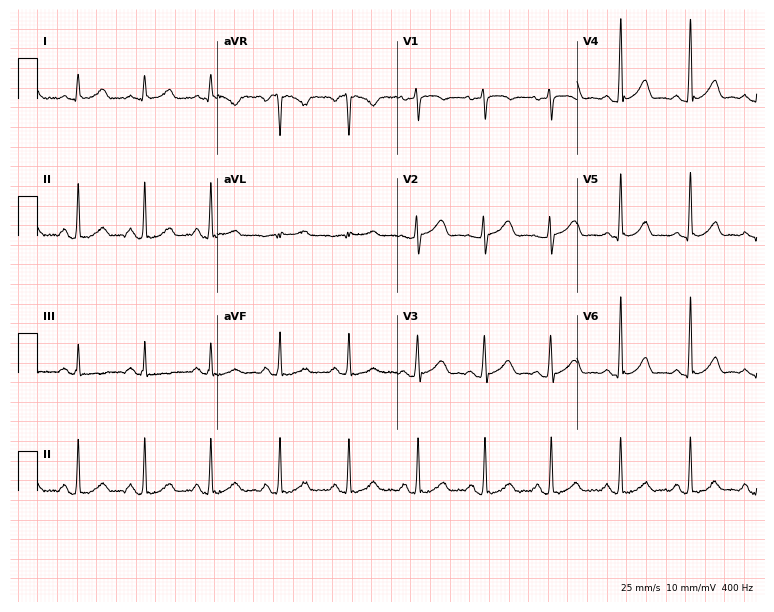
12-lead ECG from a female patient, 53 years old. Recorded interpretation: within normal limits.